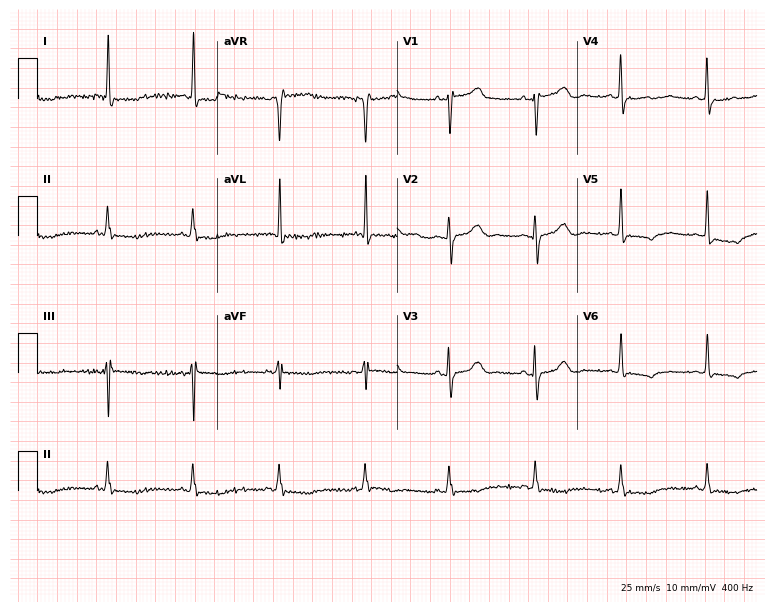
12-lead ECG (7.3-second recording at 400 Hz) from a female patient, 50 years old. Screened for six findings — first-degree AV block, right bundle branch block (RBBB), left bundle branch block (LBBB), sinus bradycardia, atrial fibrillation (AF), sinus tachycardia — none is recorded.